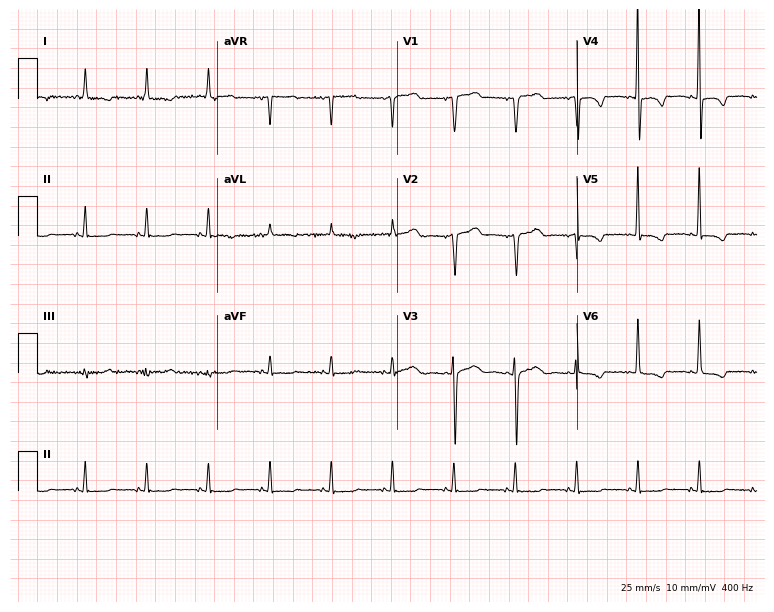
Standard 12-lead ECG recorded from a woman, 80 years old. None of these six findings is recorded: first-degree AV block, right bundle branch block (RBBB), left bundle branch block (LBBB), sinus bradycardia, atrial fibrillation (AF), sinus tachycardia.